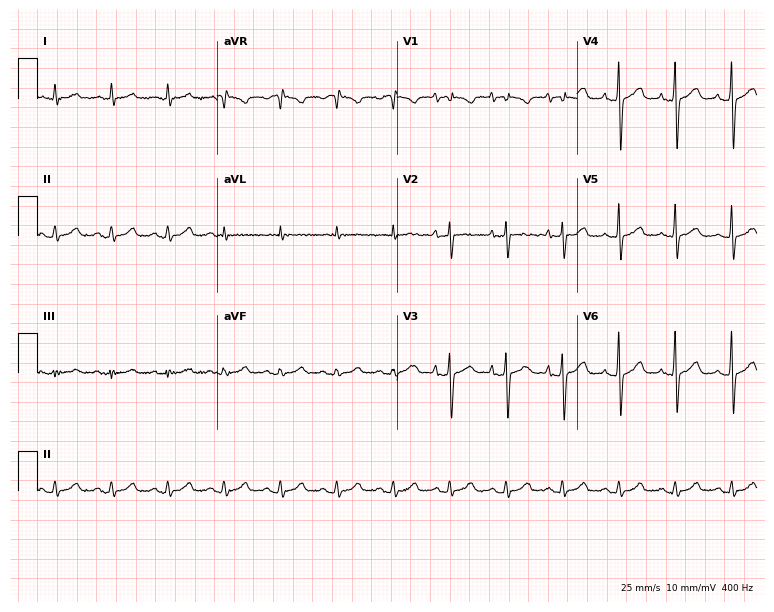
12-lead ECG (7.3-second recording at 400 Hz) from a 50-year-old man. Findings include sinus tachycardia (a sinus rate of 100 beats per minute or more).